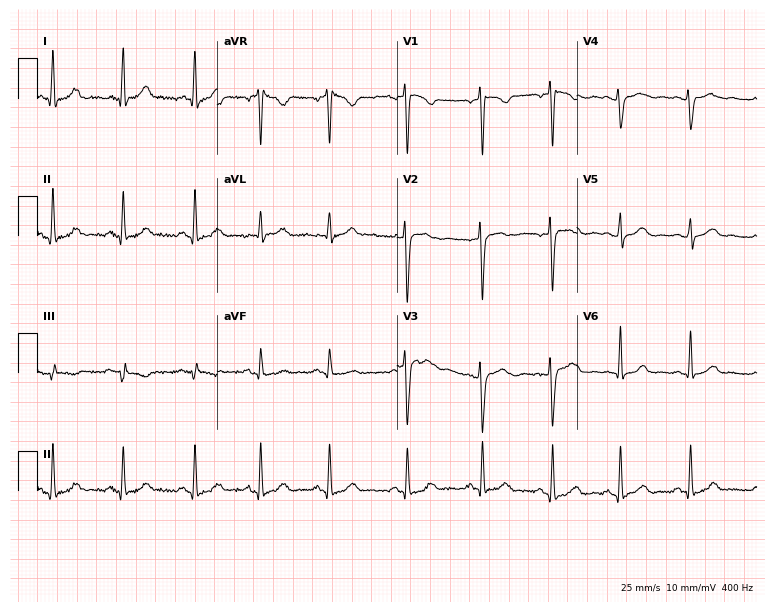
Electrocardiogram (7.3-second recording at 400 Hz), a female patient, 21 years old. Overall reading on record: normal ECG.